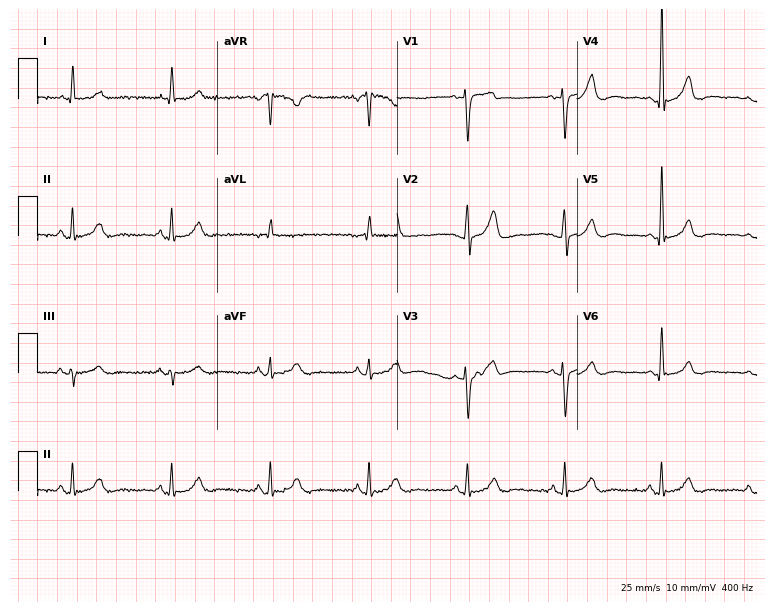
12-lead ECG from a 53-year-old man (7.3-second recording at 400 Hz). Recorded interpretation: within normal limits.